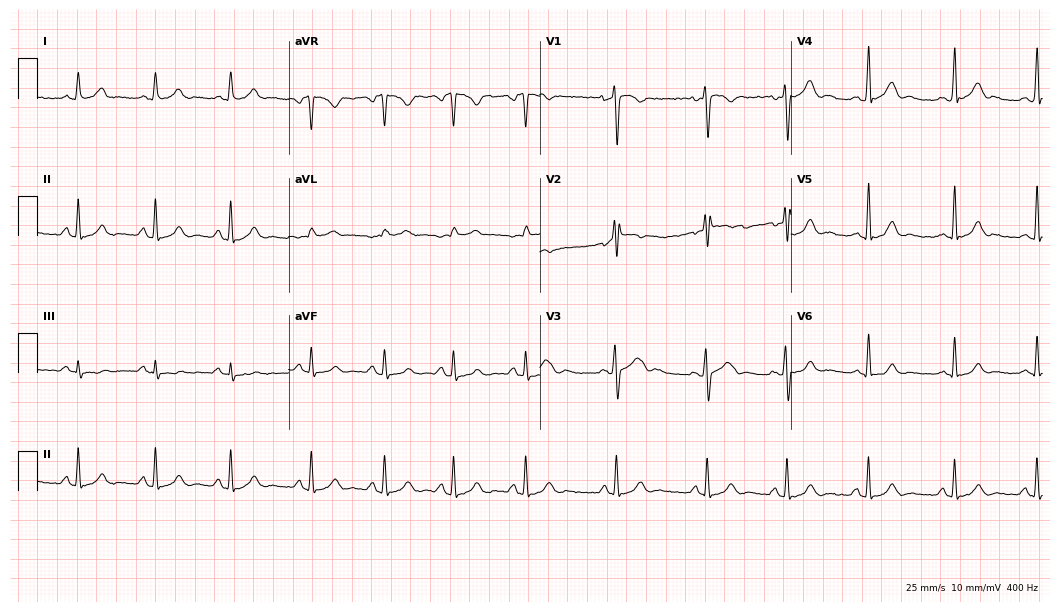
12-lead ECG from a male patient, 22 years old. Labelled as a normal ECG.